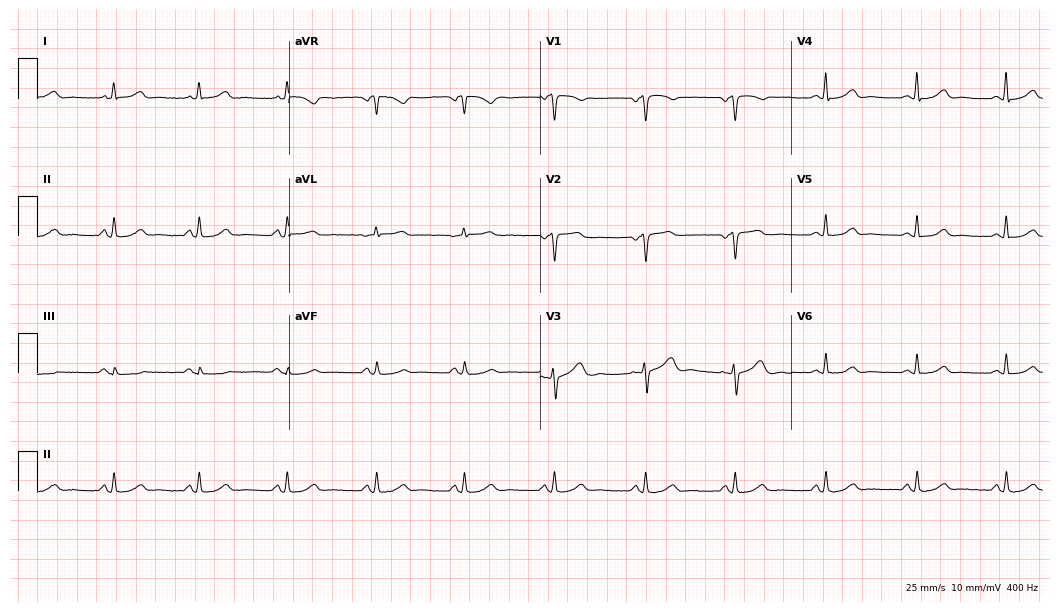
Electrocardiogram (10.2-second recording at 400 Hz), a woman, 53 years old. Overall reading on record: normal ECG.